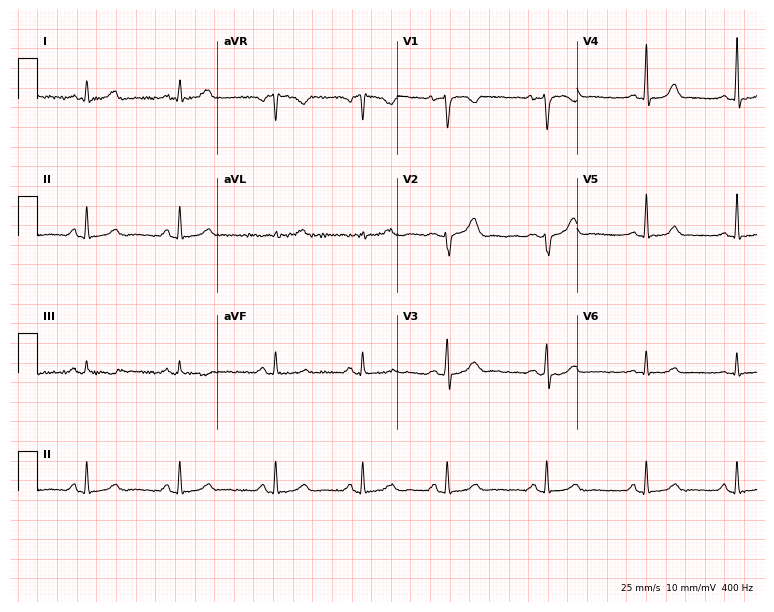
12-lead ECG from a female, 25 years old. Recorded interpretation: within normal limits.